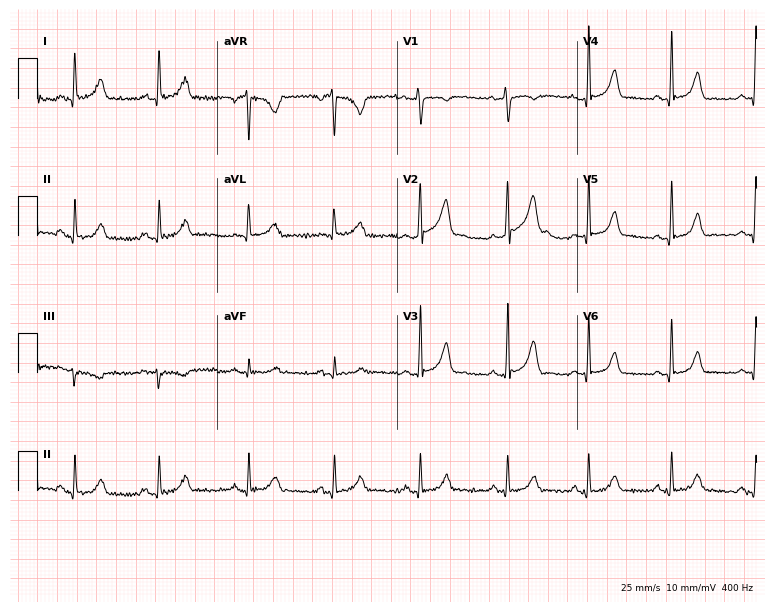
Standard 12-lead ECG recorded from a woman, 32 years old. None of these six findings is recorded: first-degree AV block, right bundle branch block, left bundle branch block, sinus bradycardia, atrial fibrillation, sinus tachycardia. Findings outside these six are not listed.